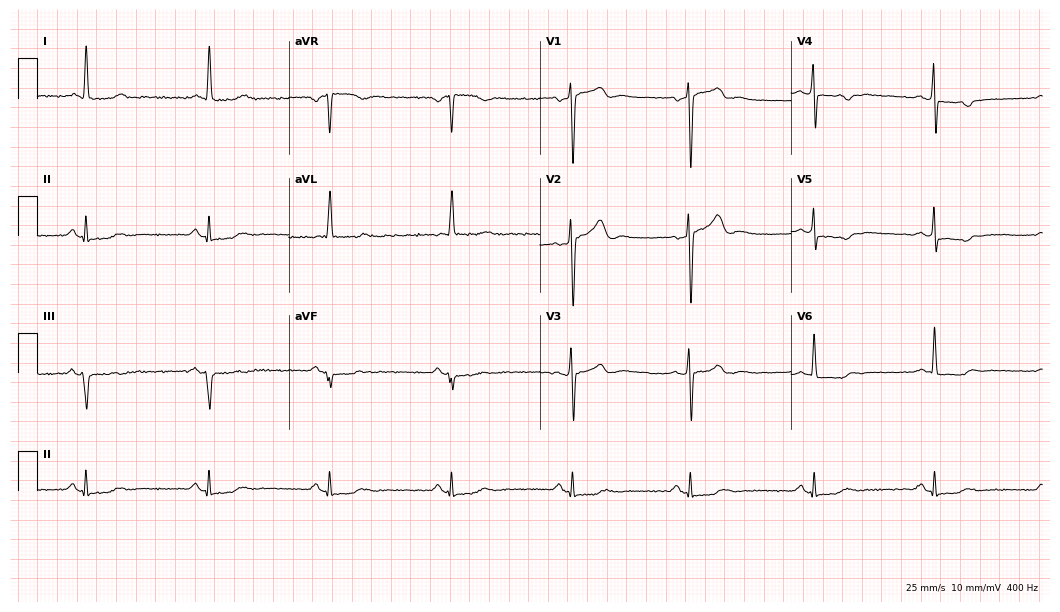
ECG (10.2-second recording at 400 Hz) — a 63-year-old man. Findings include sinus bradycardia (a sinus rate of 50 beats per minute or less).